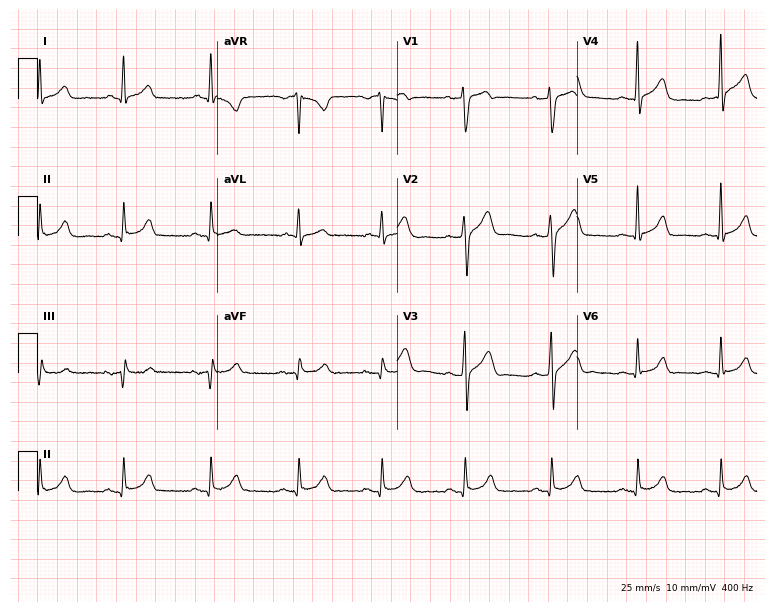
Electrocardiogram (7.3-second recording at 400 Hz), a male patient, 46 years old. Overall reading on record: normal ECG.